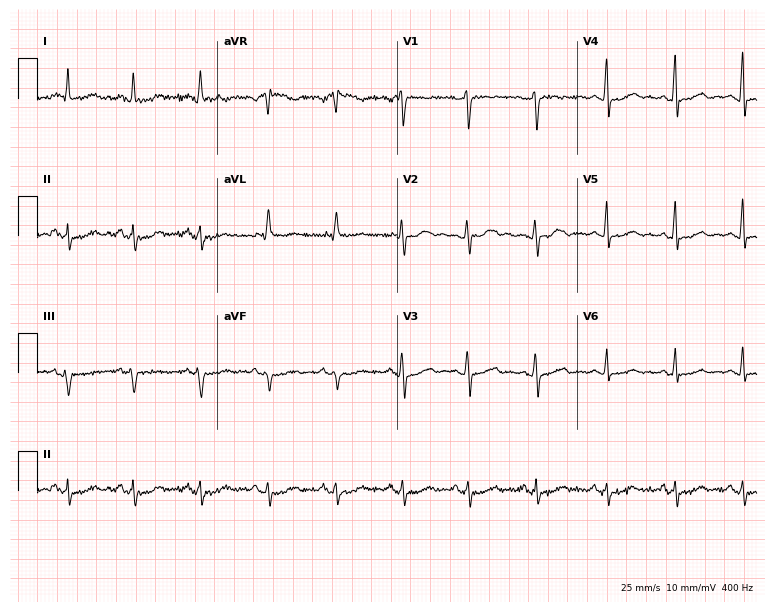
Standard 12-lead ECG recorded from a 43-year-old woman. None of these six findings is recorded: first-degree AV block, right bundle branch block, left bundle branch block, sinus bradycardia, atrial fibrillation, sinus tachycardia.